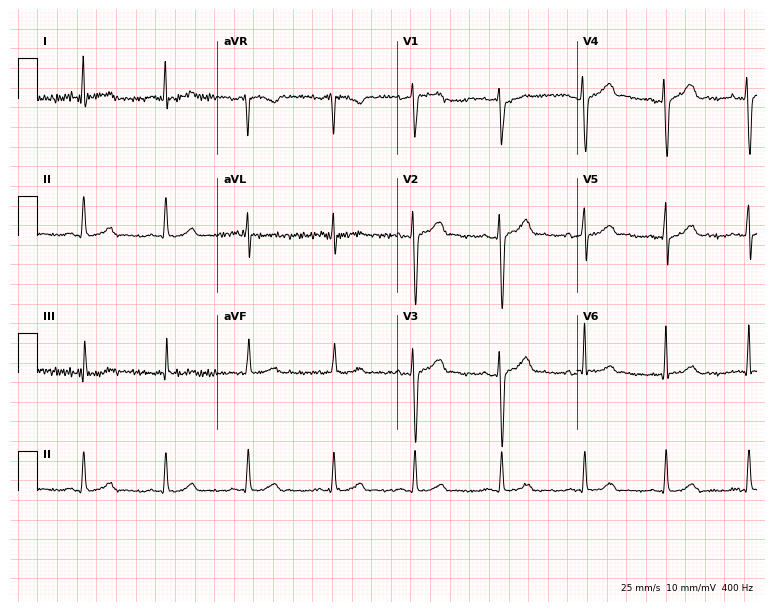
Standard 12-lead ECG recorded from a male, 30 years old. Read as a normal ECG.